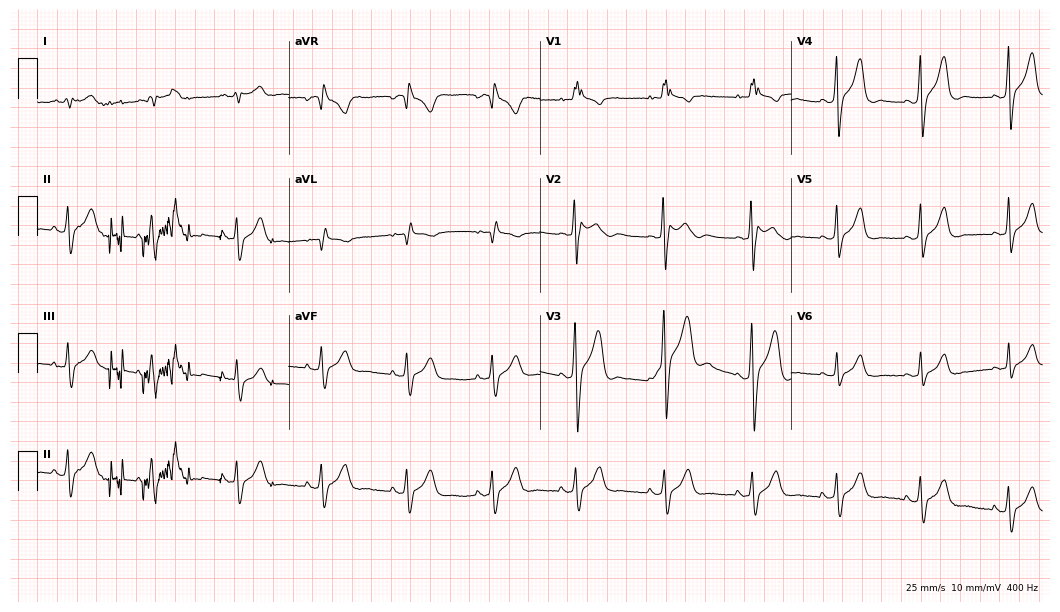
Resting 12-lead electrocardiogram (10.2-second recording at 400 Hz). Patient: a 26-year-old male. None of these six findings is recorded: first-degree AV block, right bundle branch block, left bundle branch block, sinus bradycardia, atrial fibrillation, sinus tachycardia. Other findings, if any, are not listed.